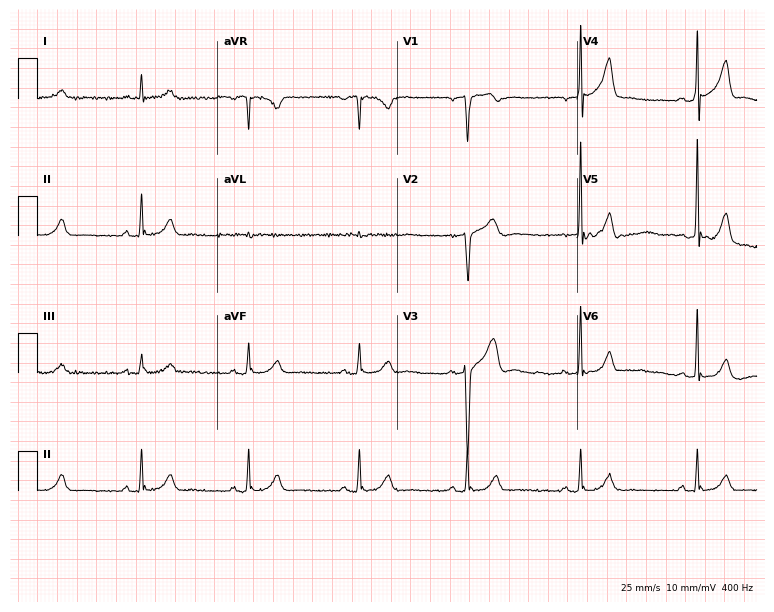
12-lead ECG from a 52-year-old male patient. Recorded interpretation: within normal limits.